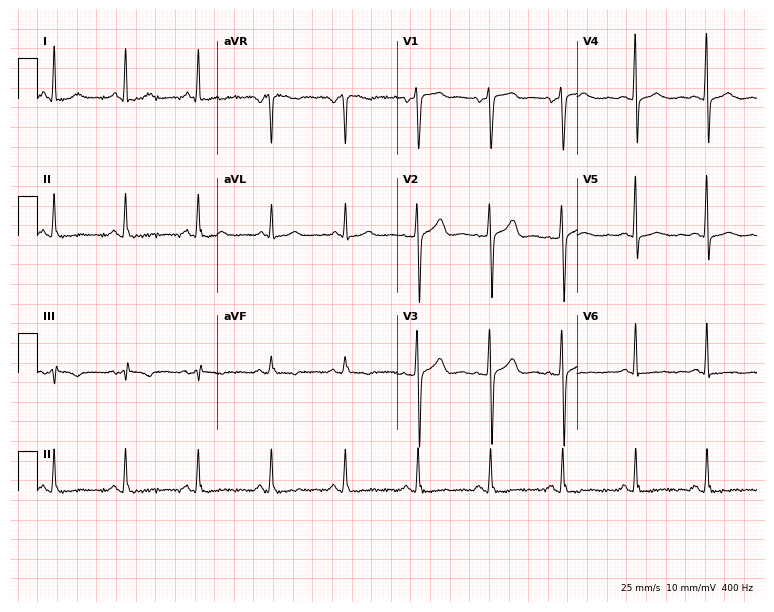
12-lead ECG (7.3-second recording at 400 Hz) from a 43-year-old female. Screened for six findings — first-degree AV block, right bundle branch block, left bundle branch block, sinus bradycardia, atrial fibrillation, sinus tachycardia — none is recorded.